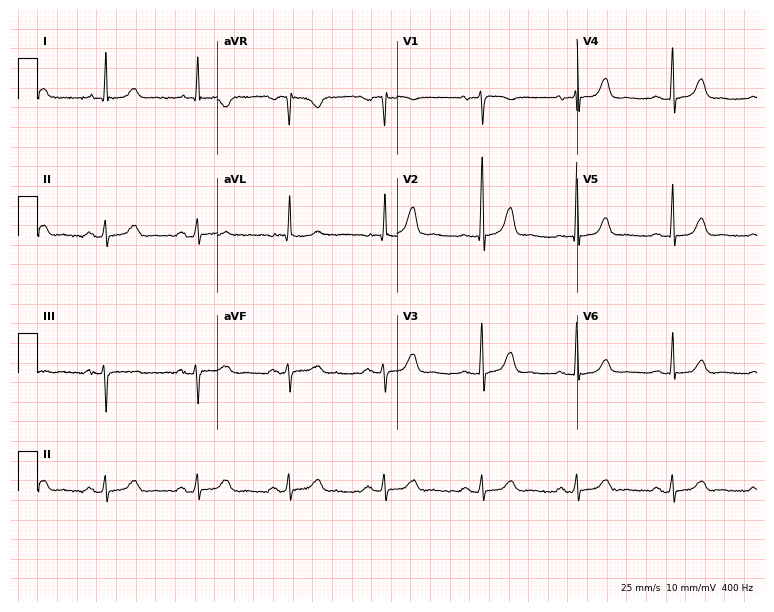
12-lead ECG (7.3-second recording at 400 Hz) from a 79-year-old female. Labelled as a normal ECG.